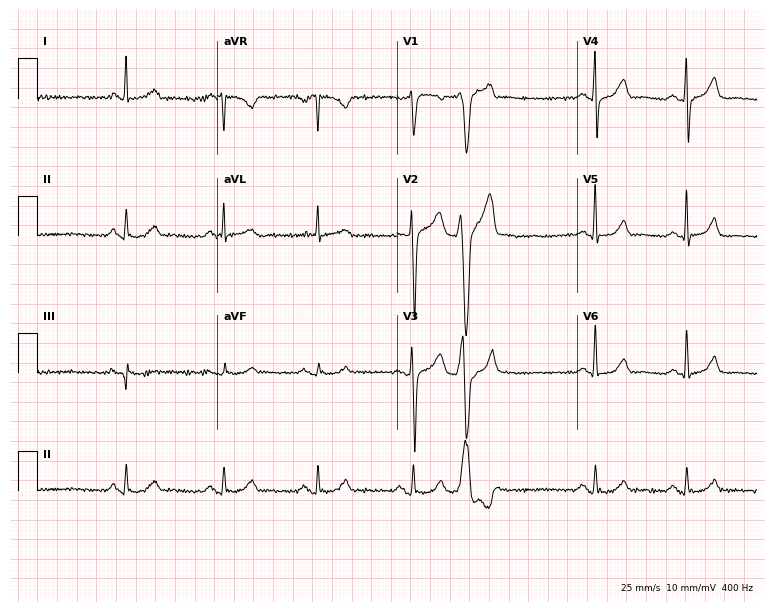
12-lead ECG from a male patient, 63 years old (7.3-second recording at 400 Hz). No first-degree AV block, right bundle branch block (RBBB), left bundle branch block (LBBB), sinus bradycardia, atrial fibrillation (AF) or sinus tachycardia recorded for this tracing.